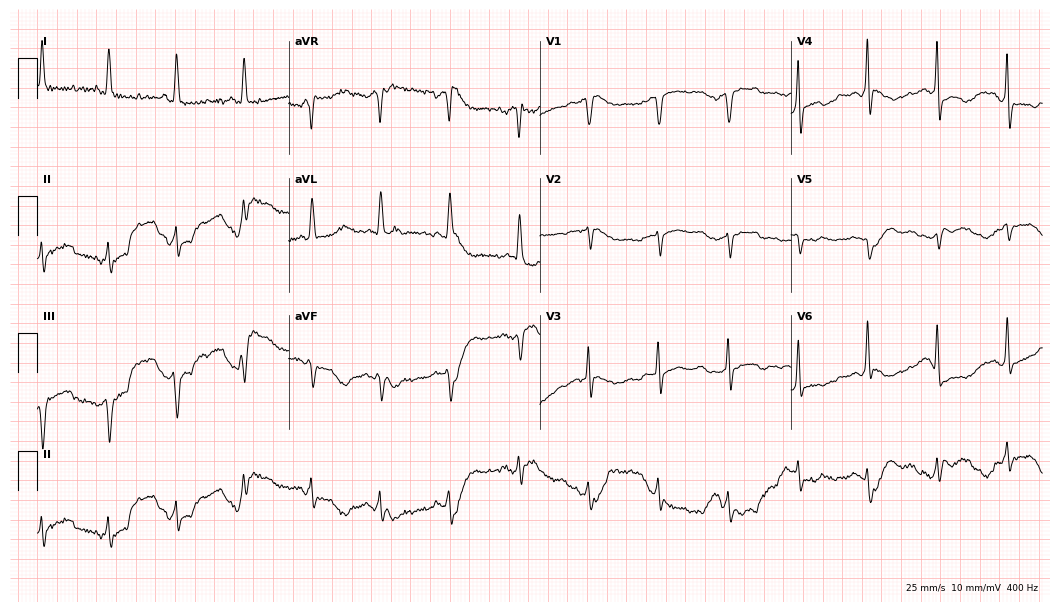
Resting 12-lead electrocardiogram (10.2-second recording at 400 Hz). Patient: a female, 74 years old. None of these six findings is recorded: first-degree AV block, right bundle branch block, left bundle branch block, sinus bradycardia, atrial fibrillation, sinus tachycardia.